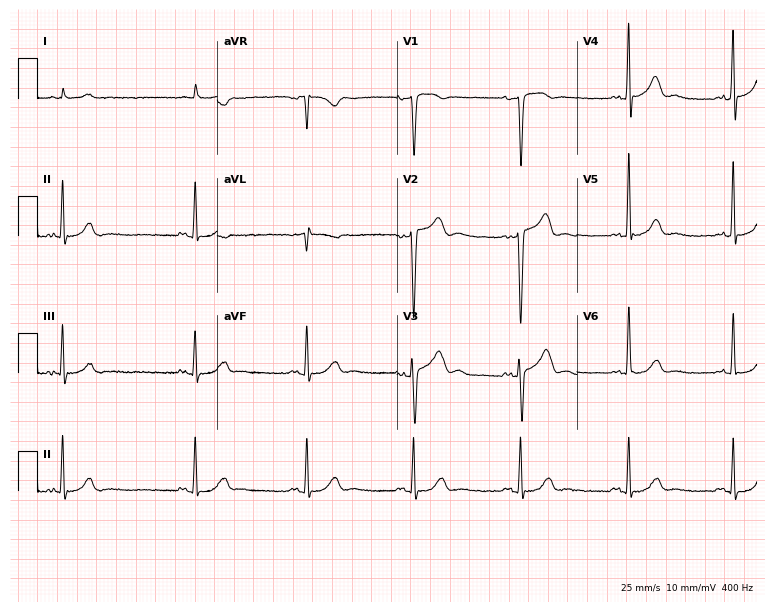
12-lead ECG (7.3-second recording at 400 Hz) from a male patient, 75 years old. Screened for six findings — first-degree AV block, right bundle branch block, left bundle branch block, sinus bradycardia, atrial fibrillation, sinus tachycardia — none is recorded.